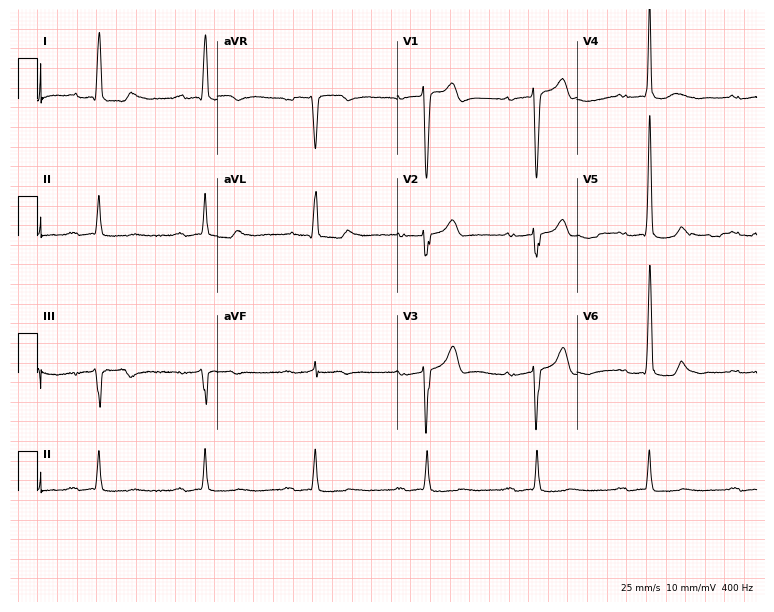
Electrocardiogram, a male patient, 76 years old. Of the six screened findings (first-degree AV block, right bundle branch block, left bundle branch block, sinus bradycardia, atrial fibrillation, sinus tachycardia), none is recorded. Findings outside these six are not listed.